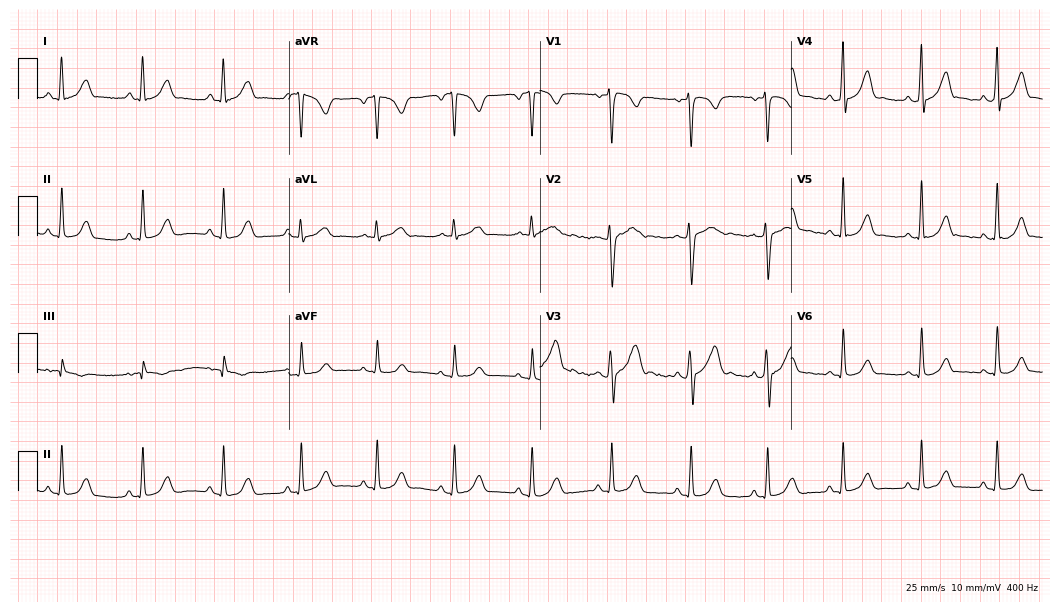
Electrocardiogram, a woman, 27 years old. Overall reading on record: normal ECG.